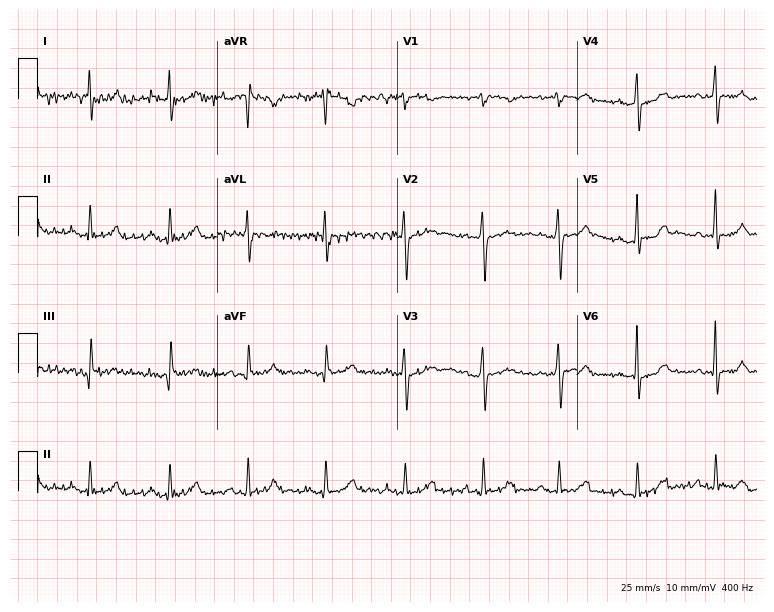
Standard 12-lead ECG recorded from a male, 52 years old. Read as a normal ECG.